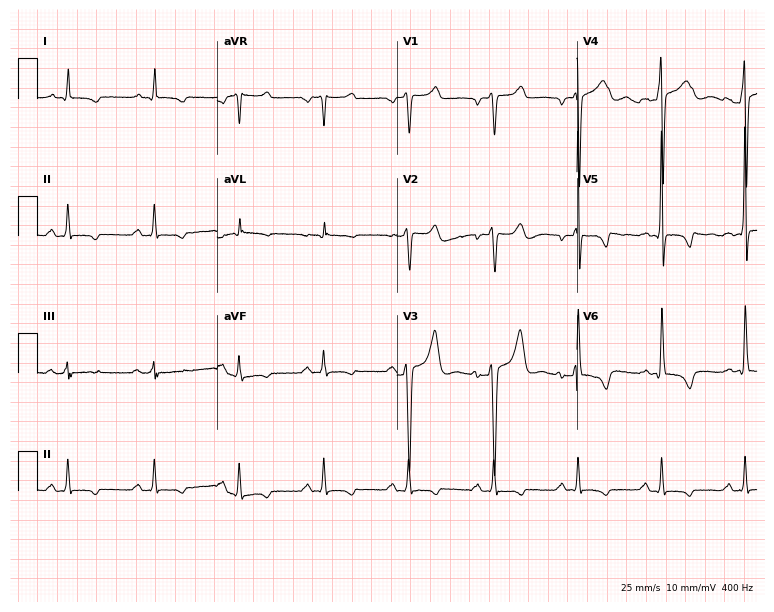
ECG (7.3-second recording at 400 Hz) — a man, 30 years old. Screened for six findings — first-degree AV block, right bundle branch block, left bundle branch block, sinus bradycardia, atrial fibrillation, sinus tachycardia — none is recorded. Findings outside these six are not listed.